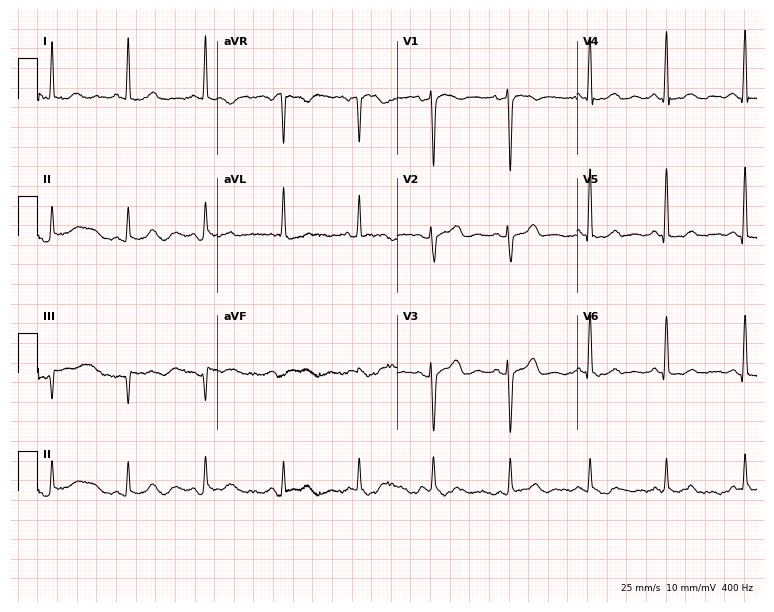
12-lead ECG from a 46-year-old female (7.3-second recording at 400 Hz). Recorded interpretation: within normal limits.